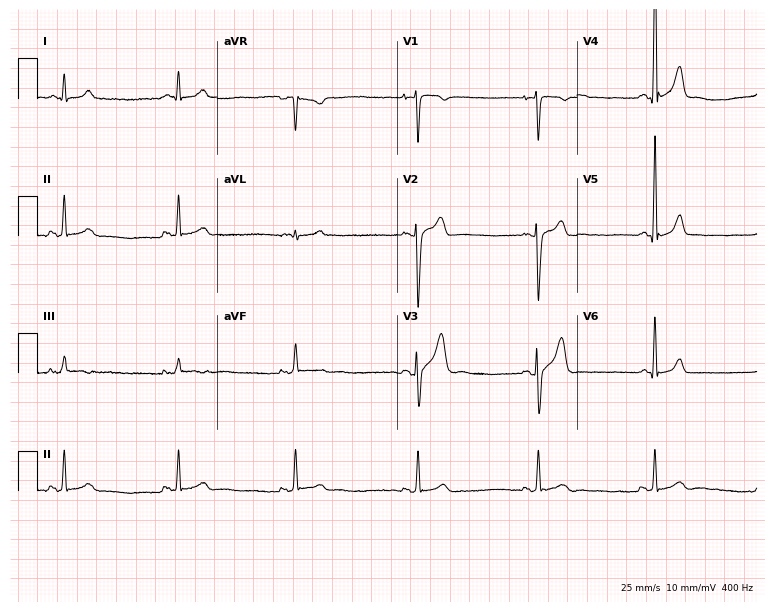
ECG (7.3-second recording at 400 Hz) — a man, 24 years old. Findings include sinus bradycardia (a sinus rate of 50 beats per minute or less).